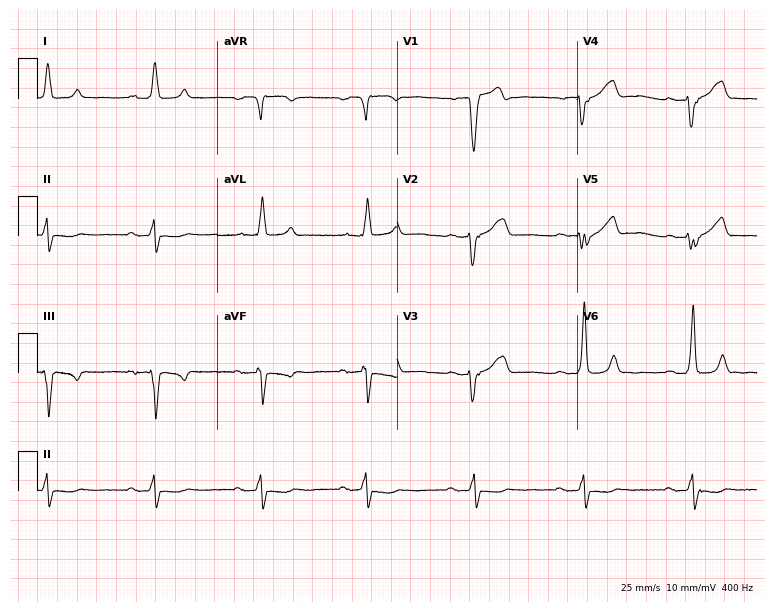
Electrocardiogram, a 79-year-old male patient. Interpretation includes first-degree AV block.